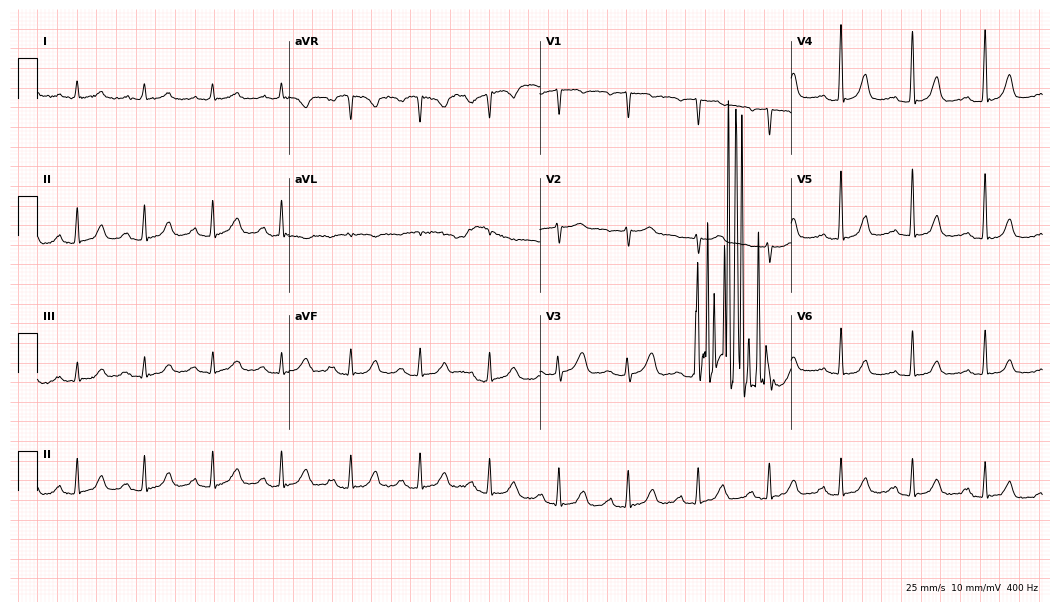
12-lead ECG from a male, 76 years old. No first-degree AV block, right bundle branch block, left bundle branch block, sinus bradycardia, atrial fibrillation or sinus tachycardia recorded for this tracing. Other findings, if any, are not listed.